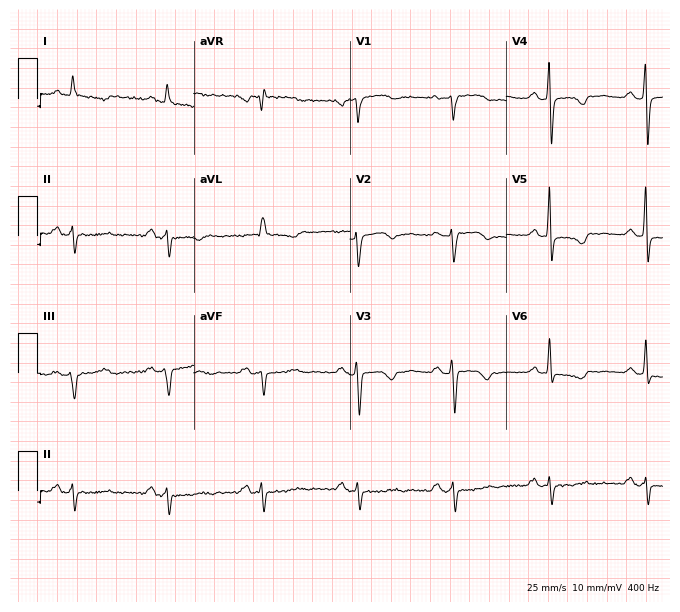
Resting 12-lead electrocardiogram. Patient: an 83-year-old male. None of these six findings is recorded: first-degree AV block, right bundle branch block (RBBB), left bundle branch block (LBBB), sinus bradycardia, atrial fibrillation (AF), sinus tachycardia.